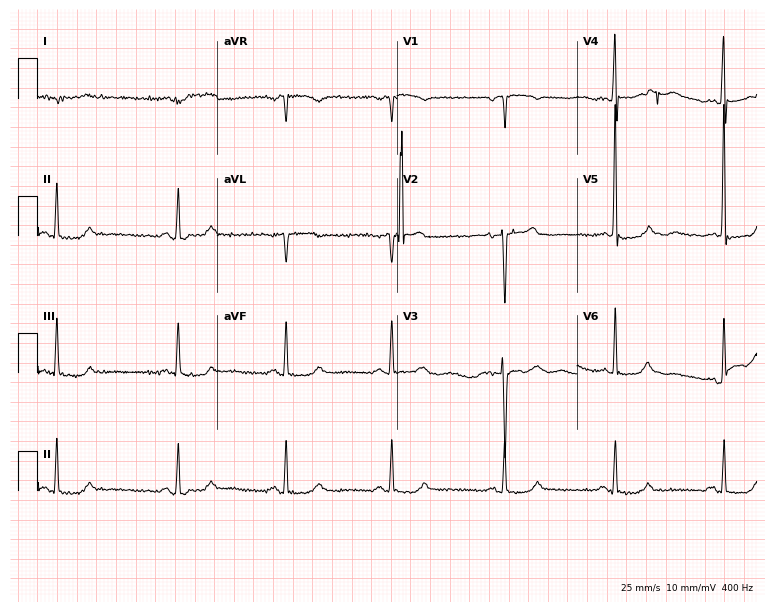
ECG (7.3-second recording at 400 Hz) — a 69-year-old female patient. Screened for six findings — first-degree AV block, right bundle branch block (RBBB), left bundle branch block (LBBB), sinus bradycardia, atrial fibrillation (AF), sinus tachycardia — none is recorded. Only these six findings were labelled.